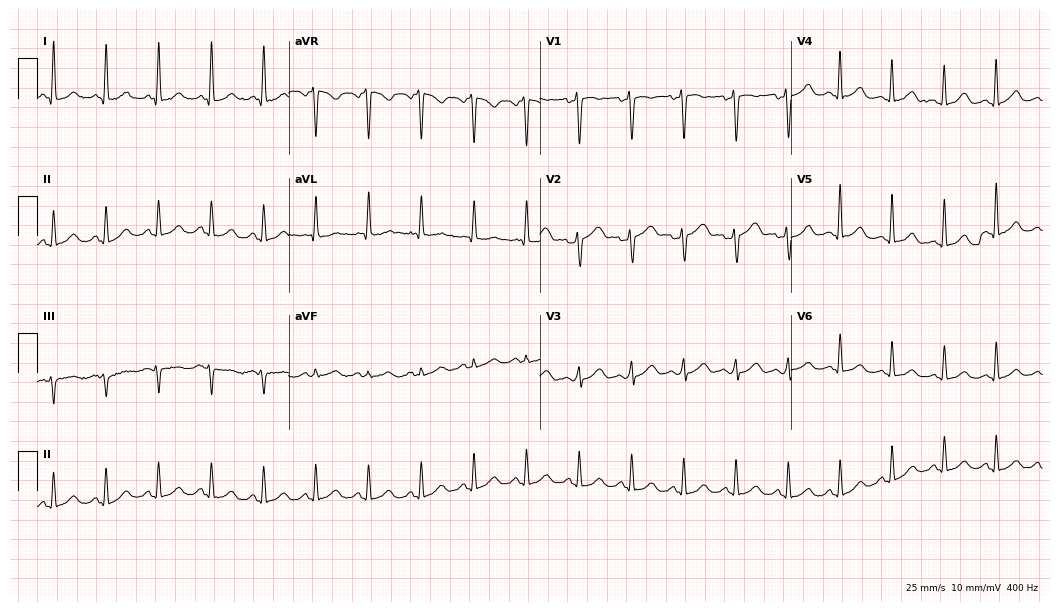
ECG (10.2-second recording at 400 Hz) — a 37-year-old female patient. Screened for six findings — first-degree AV block, right bundle branch block (RBBB), left bundle branch block (LBBB), sinus bradycardia, atrial fibrillation (AF), sinus tachycardia — none is recorded.